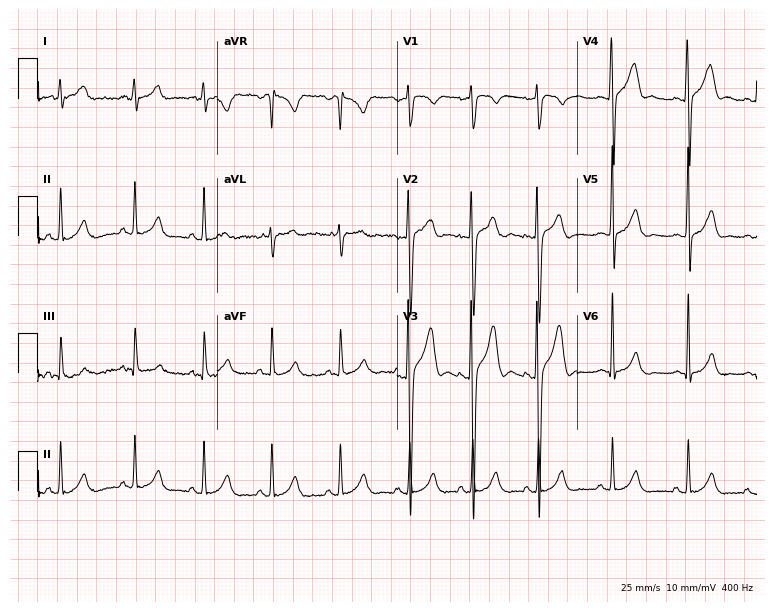
Resting 12-lead electrocardiogram. Patient: a man, 25 years old. Read as a normal ECG.